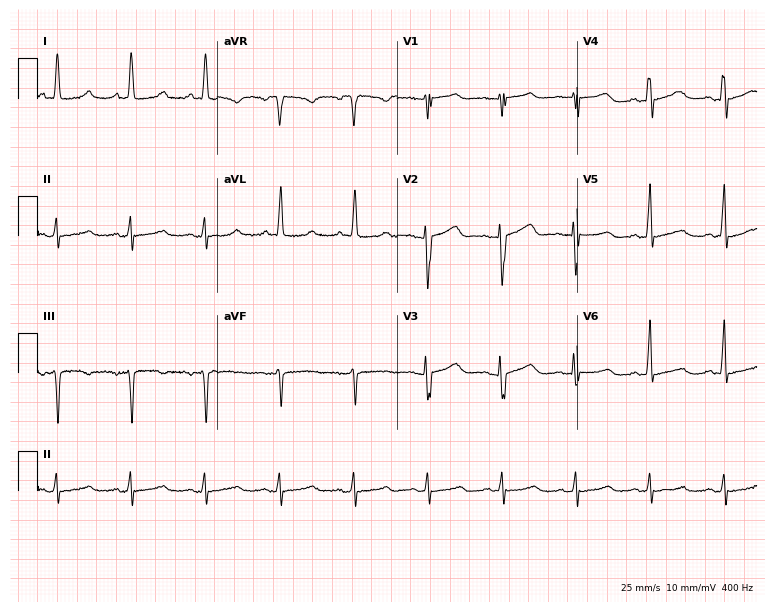
12-lead ECG from a female, 86 years old (7.3-second recording at 400 Hz). Recorded interpretation: within normal limits.